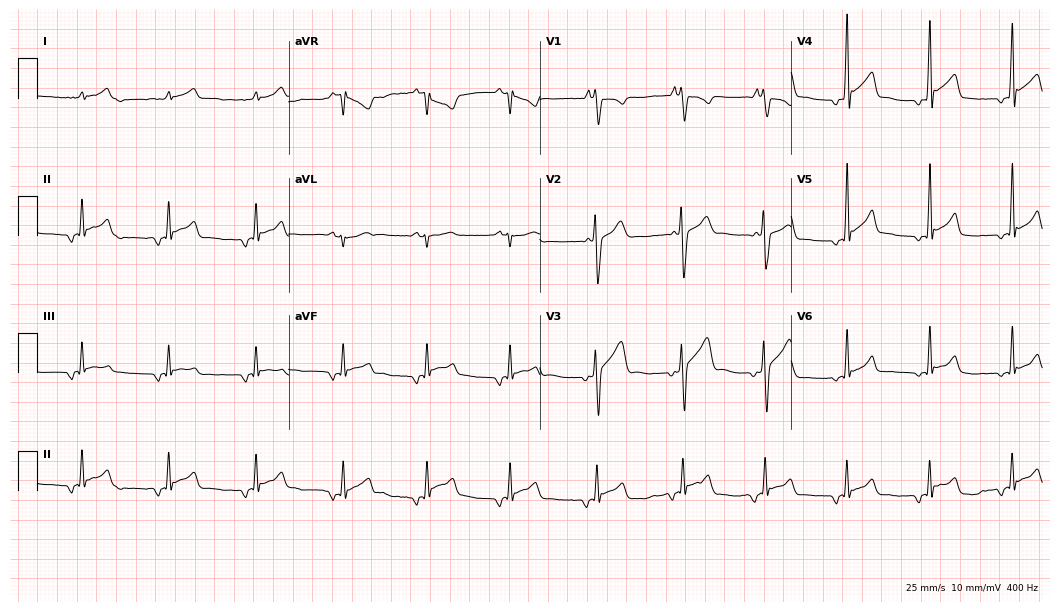
Standard 12-lead ECG recorded from a man, 18 years old (10.2-second recording at 400 Hz). Read as a normal ECG.